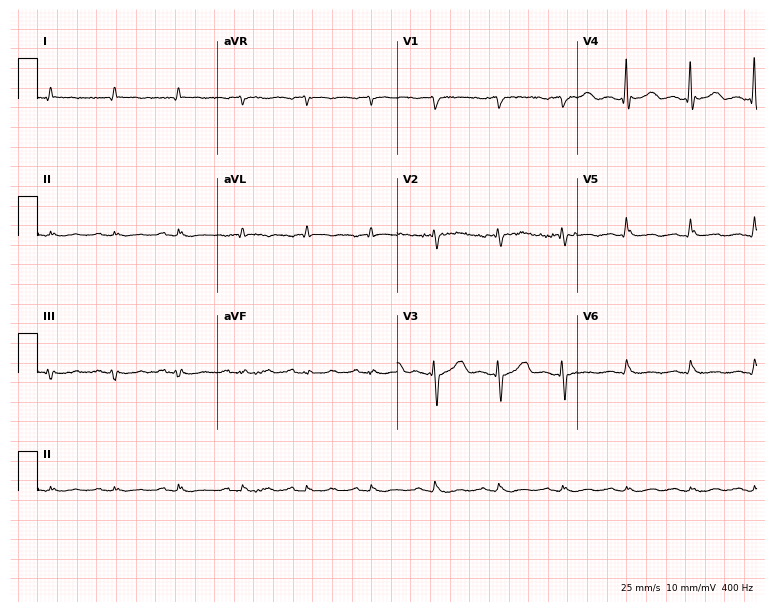
12-lead ECG (7.3-second recording at 400 Hz) from a man, 53 years old. Screened for six findings — first-degree AV block, right bundle branch block, left bundle branch block, sinus bradycardia, atrial fibrillation, sinus tachycardia — none is recorded.